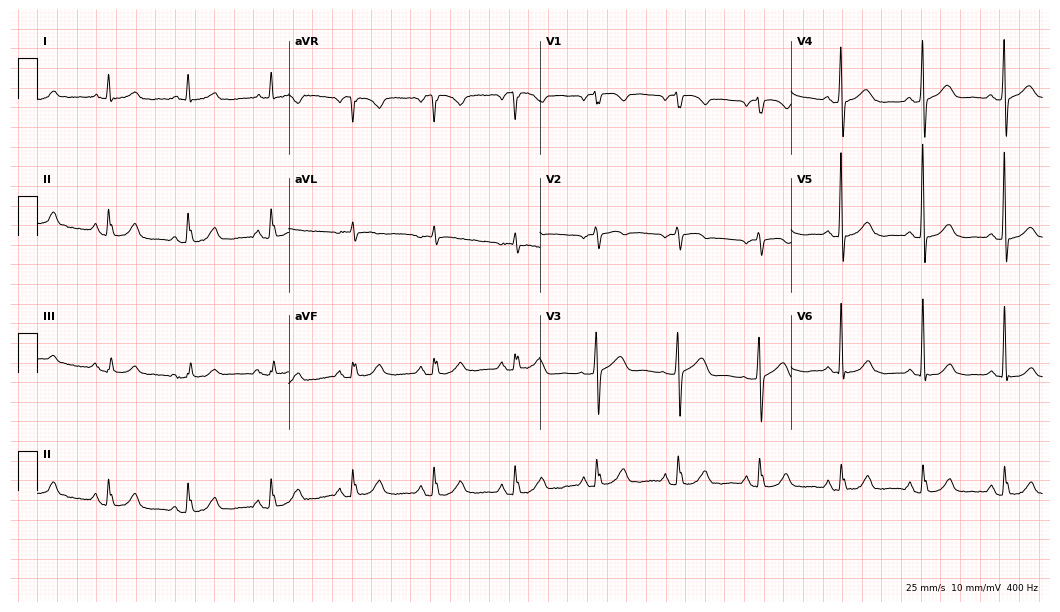
ECG (10.2-second recording at 400 Hz) — a female patient, 78 years old. Labelled as a normal ECG.